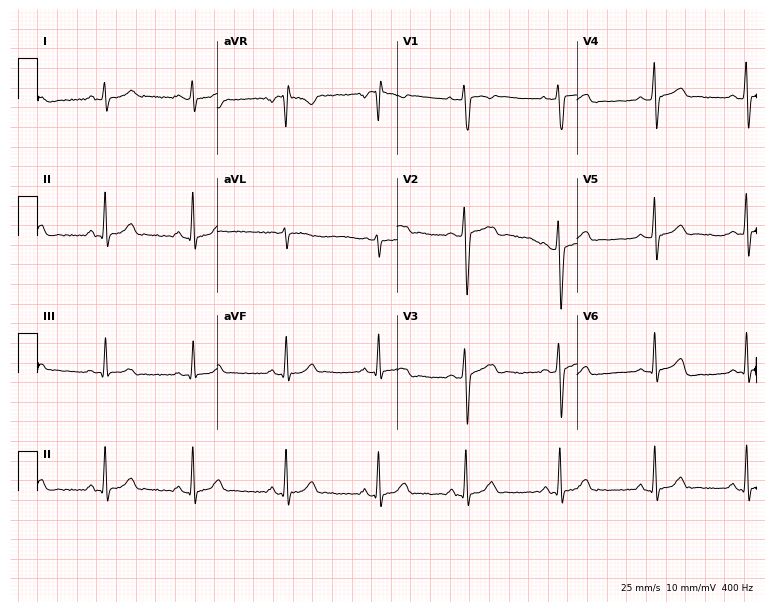
Standard 12-lead ECG recorded from a woman, 24 years old. None of these six findings is recorded: first-degree AV block, right bundle branch block (RBBB), left bundle branch block (LBBB), sinus bradycardia, atrial fibrillation (AF), sinus tachycardia.